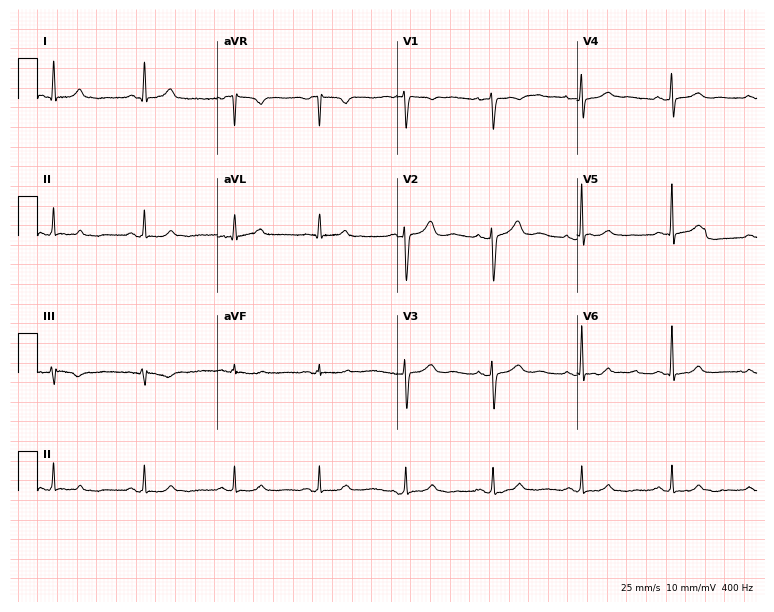
Electrocardiogram, a woman, 47 years old. Overall reading on record: normal ECG.